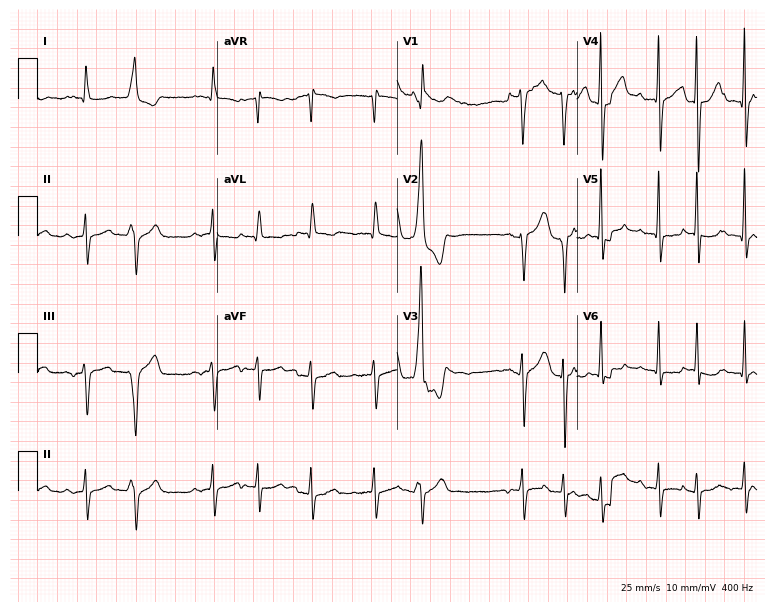
Electrocardiogram, an 80-year-old male. Interpretation includes sinus tachycardia (a sinus rate of 100 beats per minute or more).